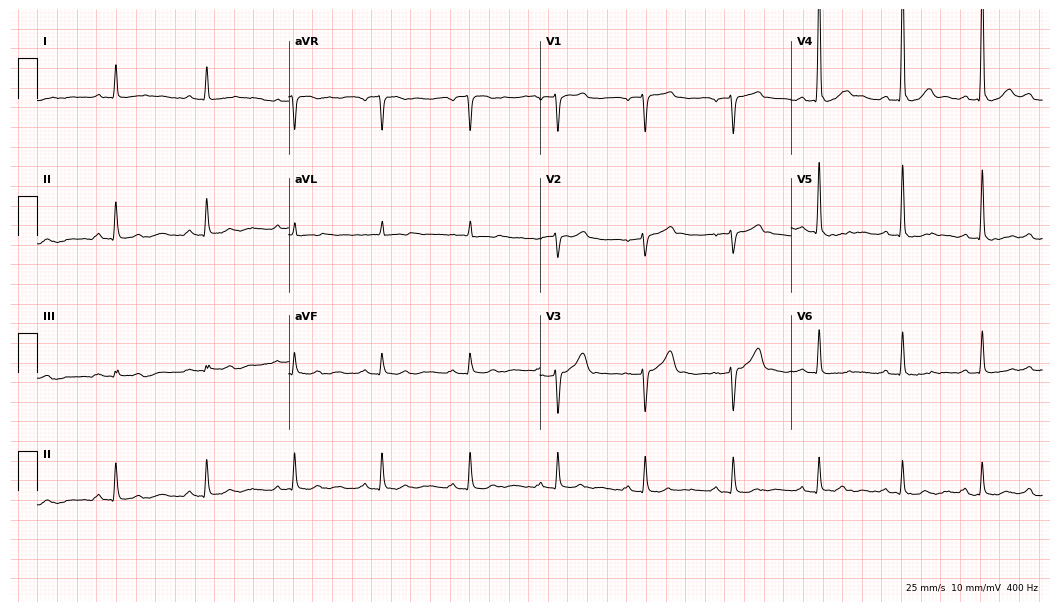
Standard 12-lead ECG recorded from a 61-year-old man. None of these six findings is recorded: first-degree AV block, right bundle branch block, left bundle branch block, sinus bradycardia, atrial fibrillation, sinus tachycardia. Findings outside these six are not listed.